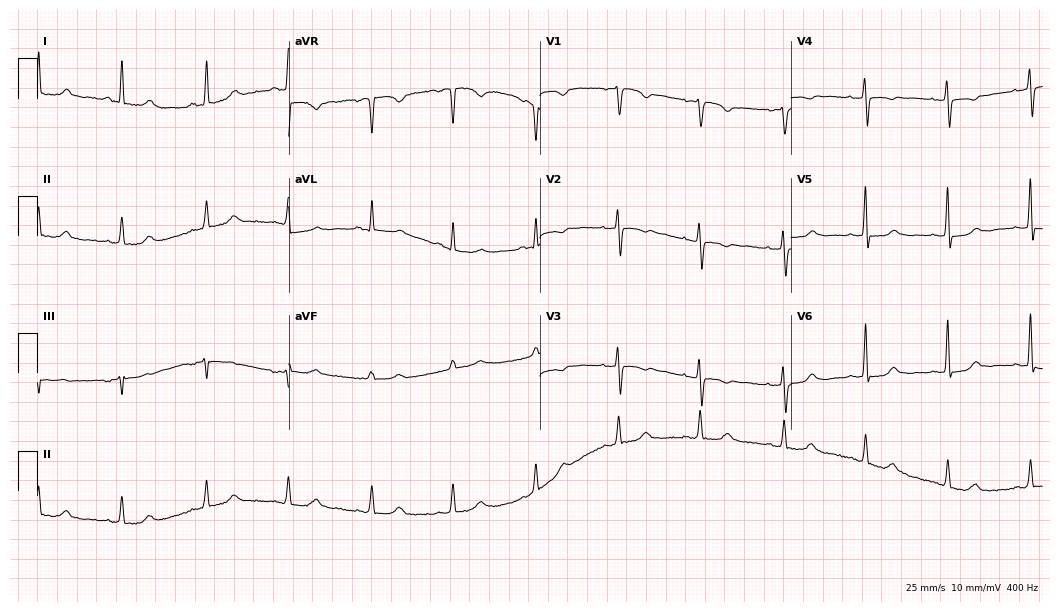
ECG — a 57-year-old female patient. Labelled as a normal ECG.